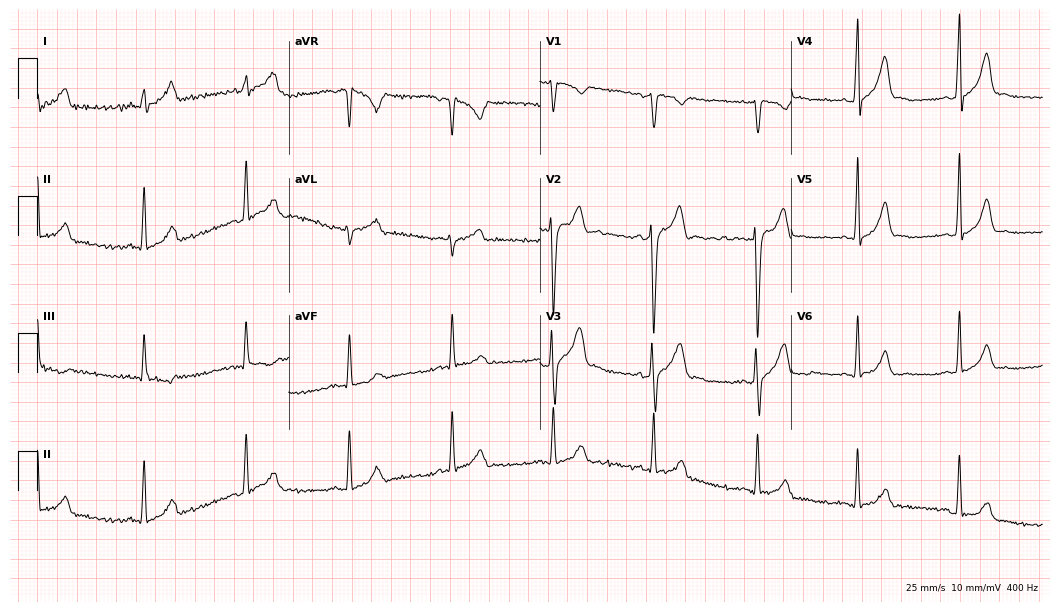
ECG (10.2-second recording at 400 Hz) — a male, 25 years old. Labelled as a normal ECG.